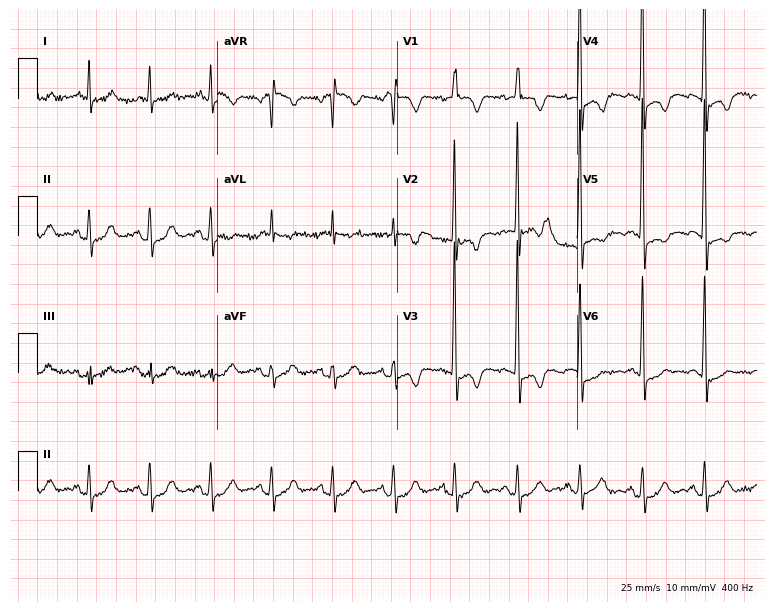
Electrocardiogram, a woman, 85 years old. Of the six screened findings (first-degree AV block, right bundle branch block (RBBB), left bundle branch block (LBBB), sinus bradycardia, atrial fibrillation (AF), sinus tachycardia), none is recorded.